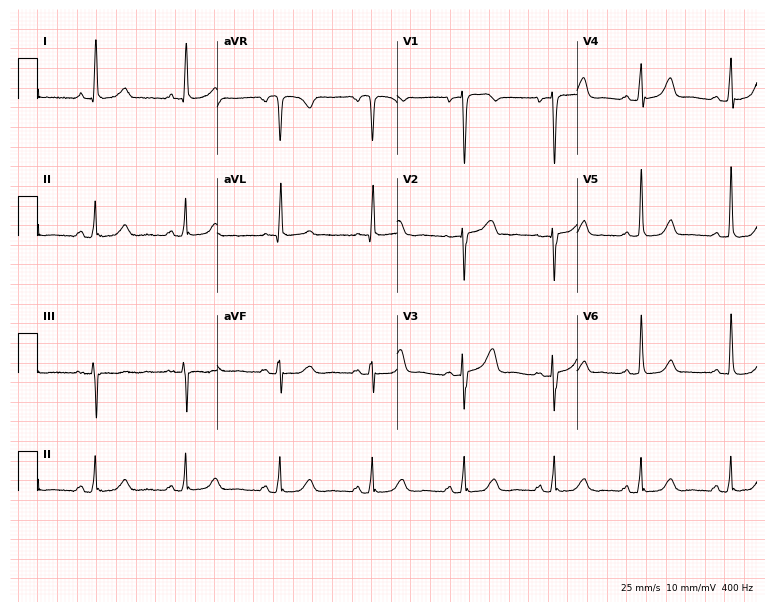
Resting 12-lead electrocardiogram. Patient: a female, 52 years old. Read as a normal ECG.